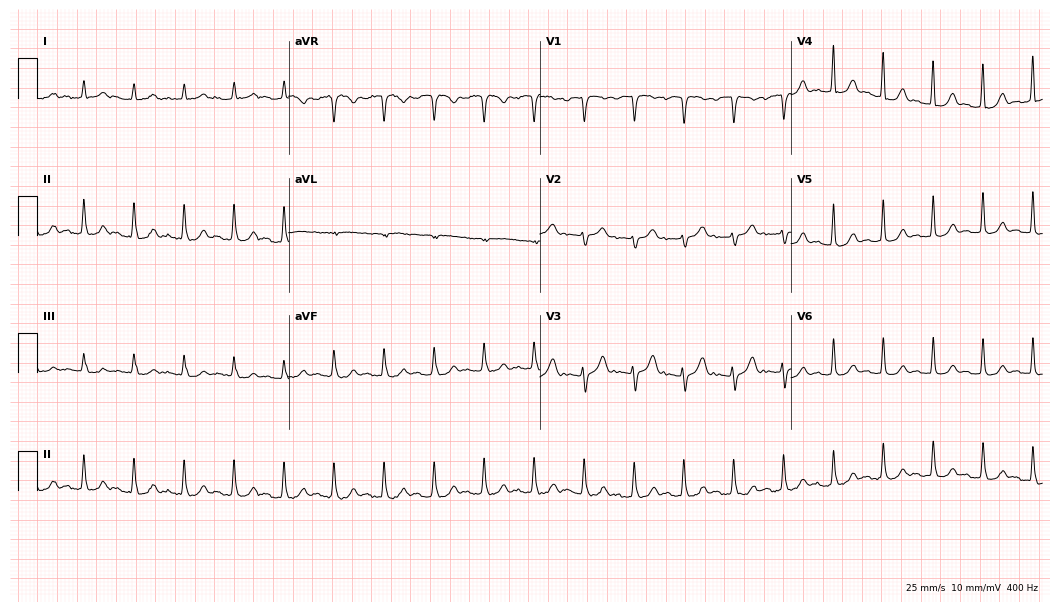
12-lead ECG from a 78-year-old woman. No first-degree AV block, right bundle branch block, left bundle branch block, sinus bradycardia, atrial fibrillation or sinus tachycardia recorded for this tracing.